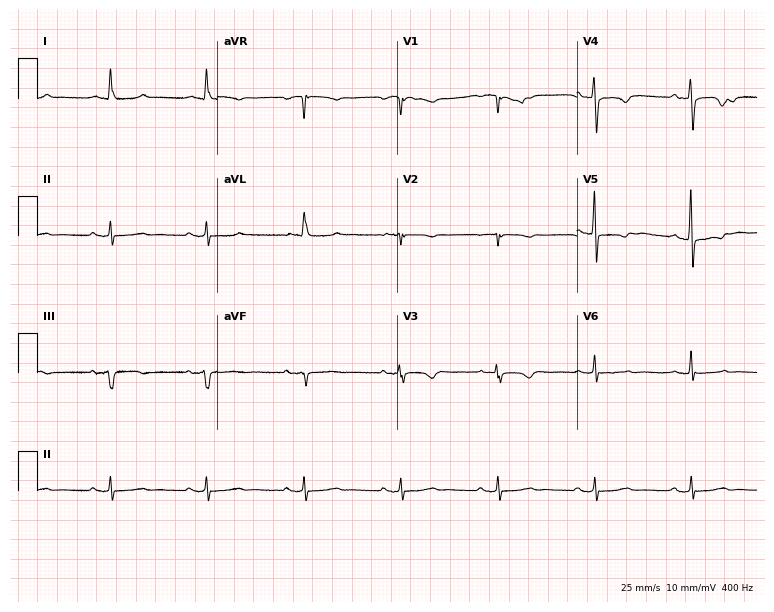
Standard 12-lead ECG recorded from a 78-year-old female. None of these six findings is recorded: first-degree AV block, right bundle branch block (RBBB), left bundle branch block (LBBB), sinus bradycardia, atrial fibrillation (AF), sinus tachycardia.